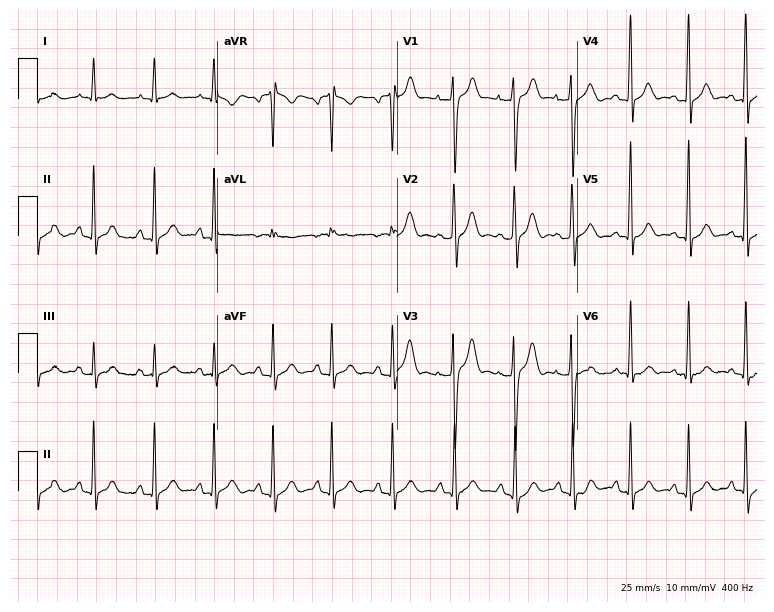
Resting 12-lead electrocardiogram. Patient: a man, 20 years old. None of these six findings is recorded: first-degree AV block, right bundle branch block, left bundle branch block, sinus bradycardia, atrial fibrillation, sinus tachycardia. Only these six findings were labelled.